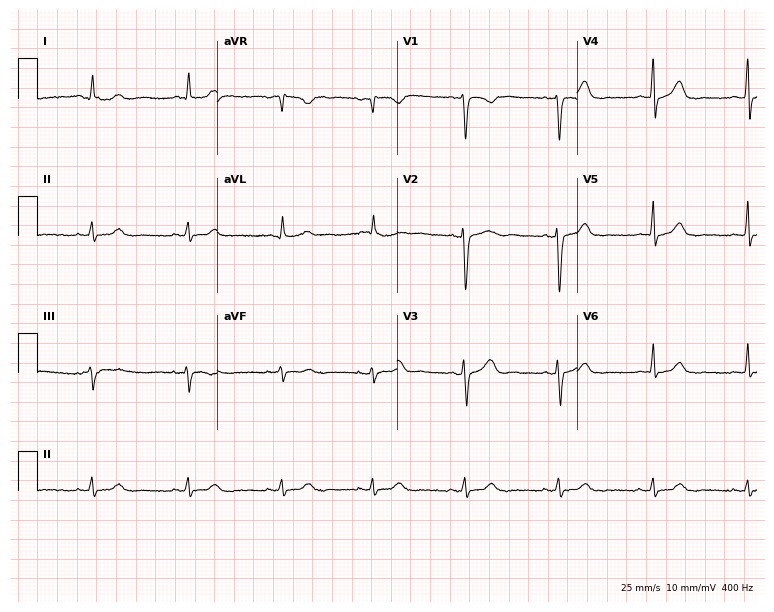
Electrocardiogram (7.3-second recording at 400 Hz), a 33-year-old female patient. Overall reading on record: normal ECG.